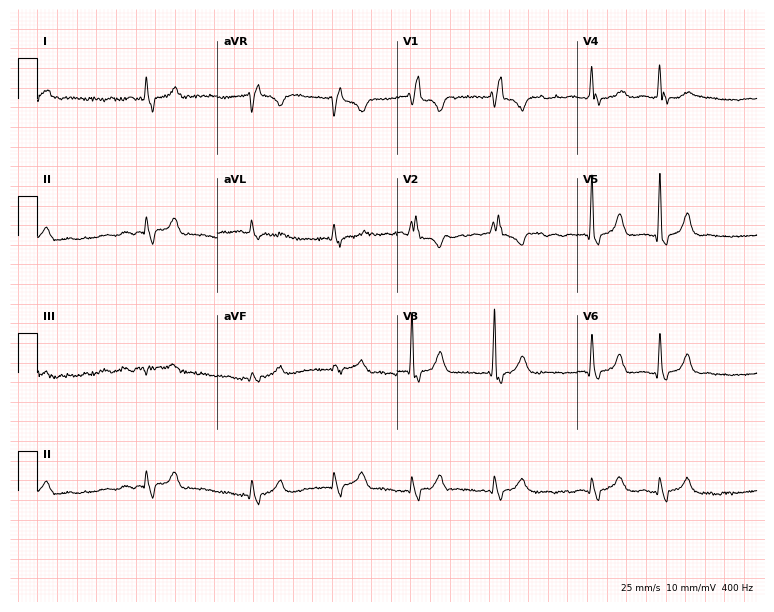
Standard 12-lead ECG recorded from a 73-year-old female patient (7.3-second recording at 400 Hz). The tracing shows right bundle branch block (RBBB), atrial fibrillation (AF).